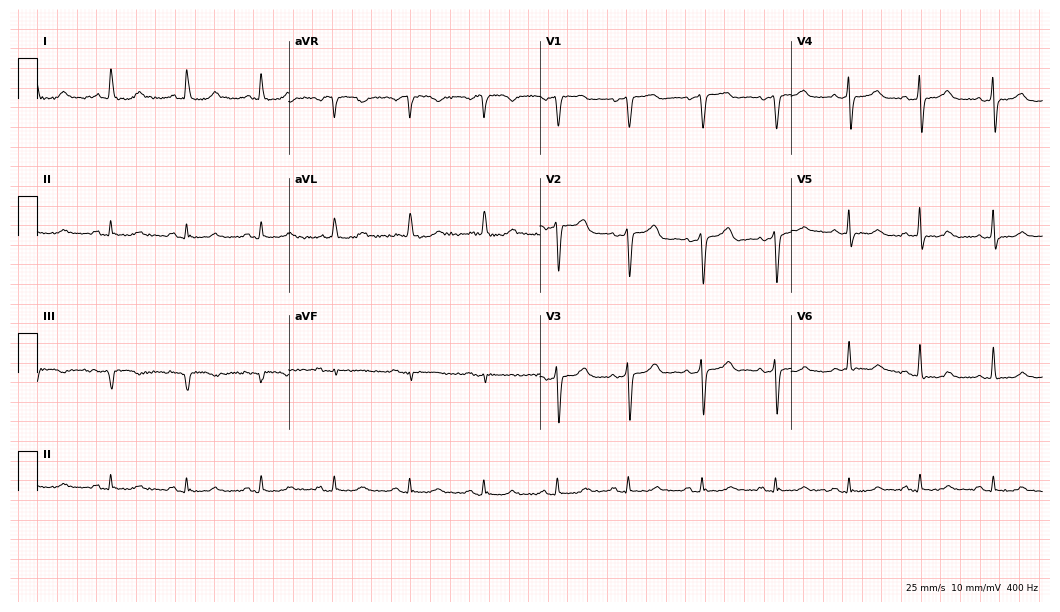
ECG (10.2-second recording at 400 Hz) — a 77-year-old female. Screened for six findings — first-degree AV block, right bundle branch block, left bundle branch block, sinus bradycardia, atrial fibrillation, sinus tachycardia — none is recorded. Findings outside these six are not listed.